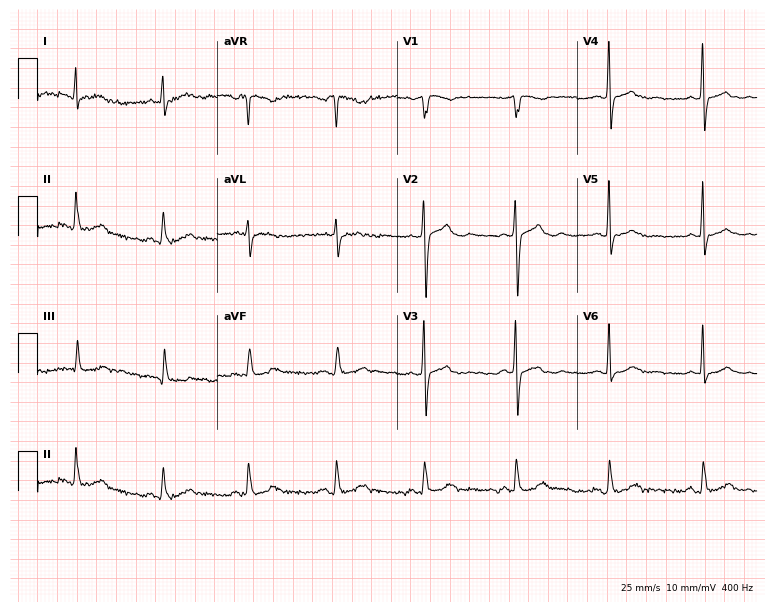
12-lead ECG (7.3-second recording at 400 Hz) from a woman, 46 years old. Screened for six findings — first-degree AV block, right bundle branch block (RBBB), left bundle branch block (LBBB), sinus bradycardia, atrial fibrillation (AF), sinus tachycardia — none is recorded. Only these six findings were labelled.